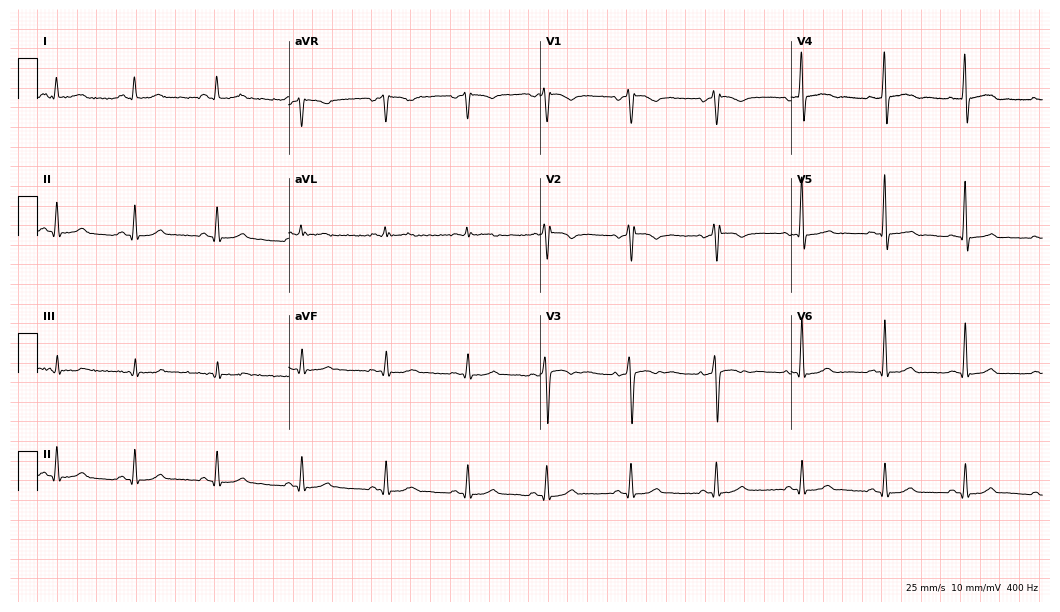
12-lead ECG from a male patient, 55 years old. No first-degree AV block, right bundle branch block, left bundle branch block, sinus bradycardia, atrial fibrillation or sinus tachycardia recorded for this tracing.